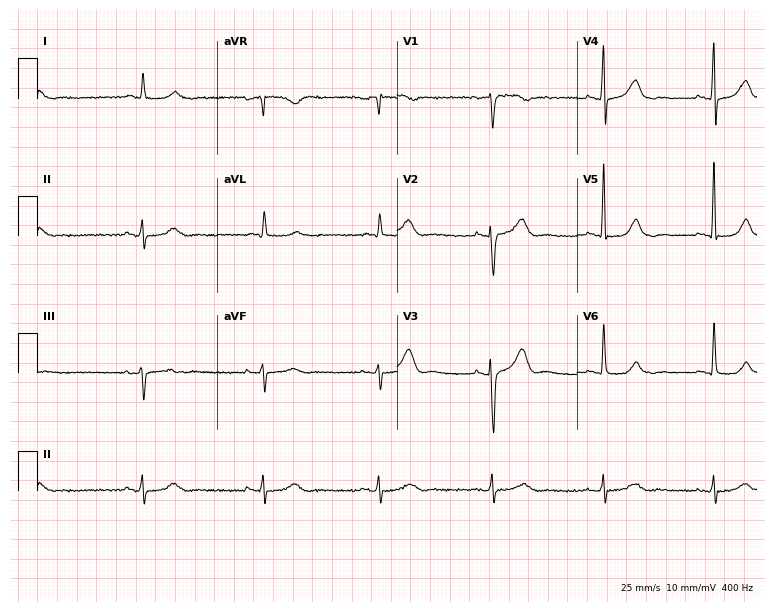
ECG — a 70-year-old male. Labelled as a normal ECG.